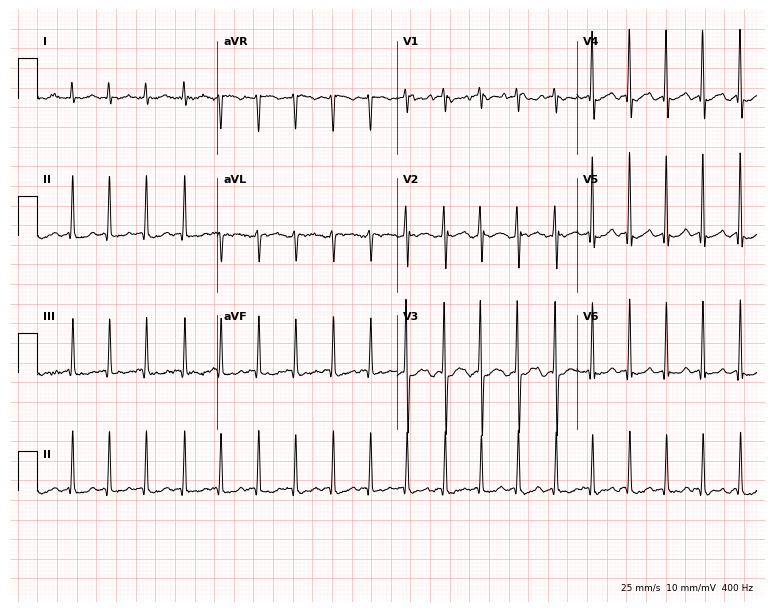
ECG (7.3-second recording at 400 Hz) — a female, 44 years old. Findings include atrial fibrillation.